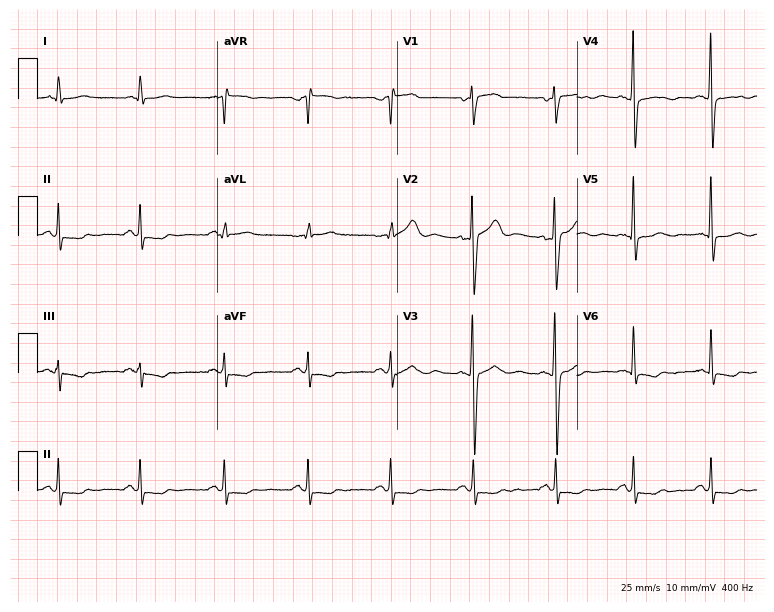
ECG (7.3-second recording at 400 Hz) — a man, 63 years old. Screened for six findings — first-degree AV block, right bundle branch block, left bundle branch block, sinus bradycardia, atrial fibrillation, sinus tachycardia — none is recorded.